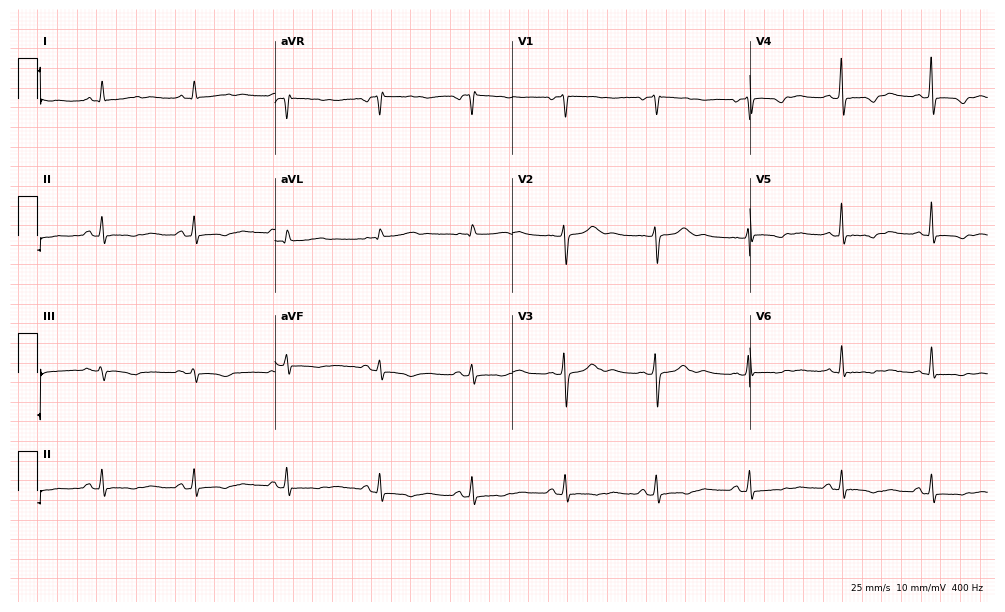
Standard 12-lead ECG recorded from a 54-year-old female. None of these six findings is recorded: first-degree AV block, right bundle branch block, left bundle branch block, sinus bradycardia, atrial fibrillation, sinus tachycardia.